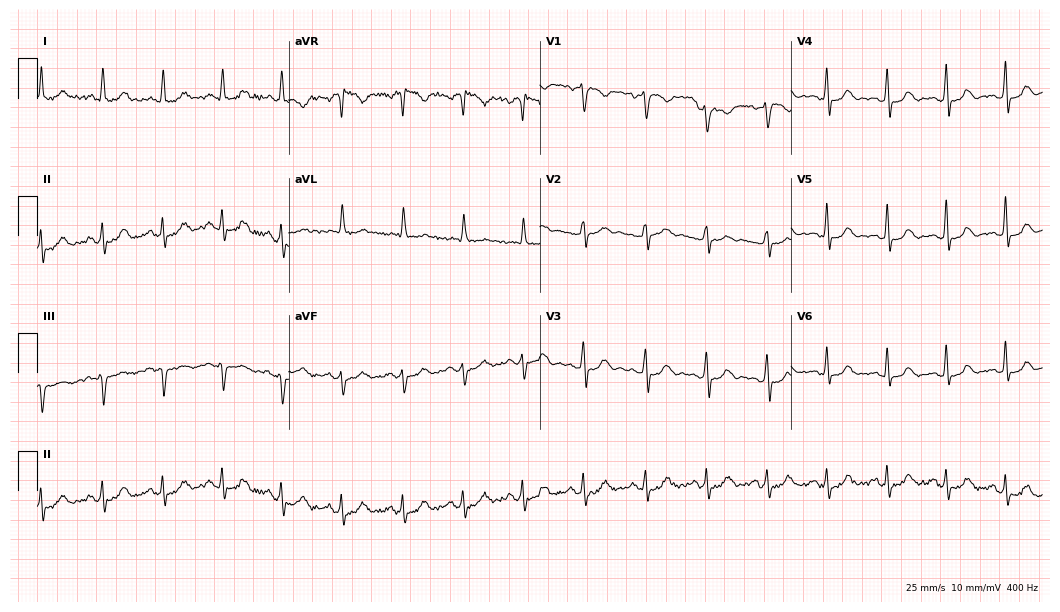
Resting 12-lead electrocardiogram. Patient: a 45-year-old woman. Read as a normal ECG.